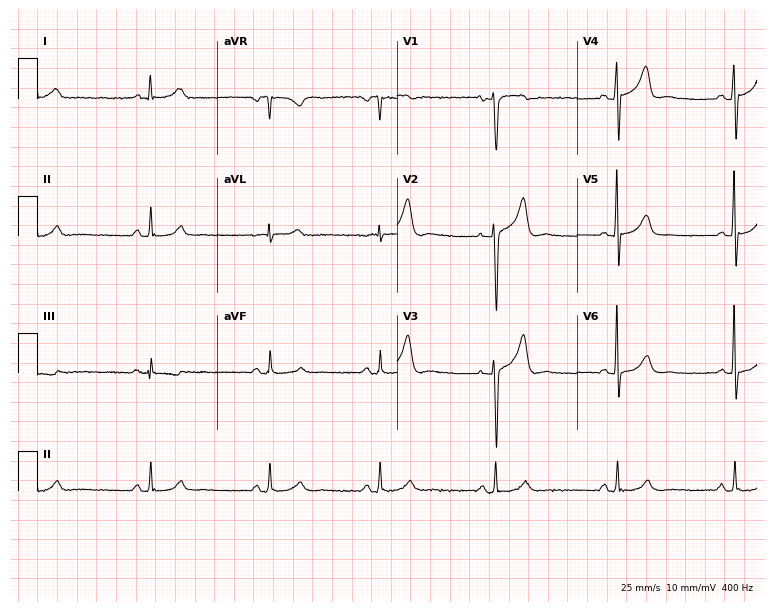
ECG (7.3-second recording at 400 Hz) — a male, 62 years old. Screened for six findings — first-degree AV block, right bundle branch block, left bundle branch block, sinus bradycardia, atrial fibrillation, sinus tachycardia — none is recorded.